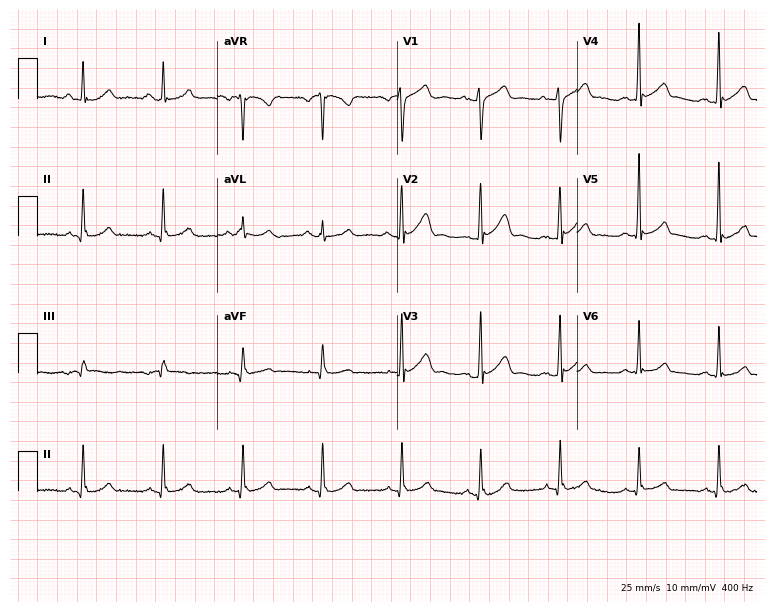
Standard 12-lead ECG recorded from a 40-year-old male. None of these six findings is recorded: first-degree AV block, right bundle branch block, left bundle branch block, sinus bradycardia, atrial fibrillation, sinus tachycardia. Findings outside these six are not listed.